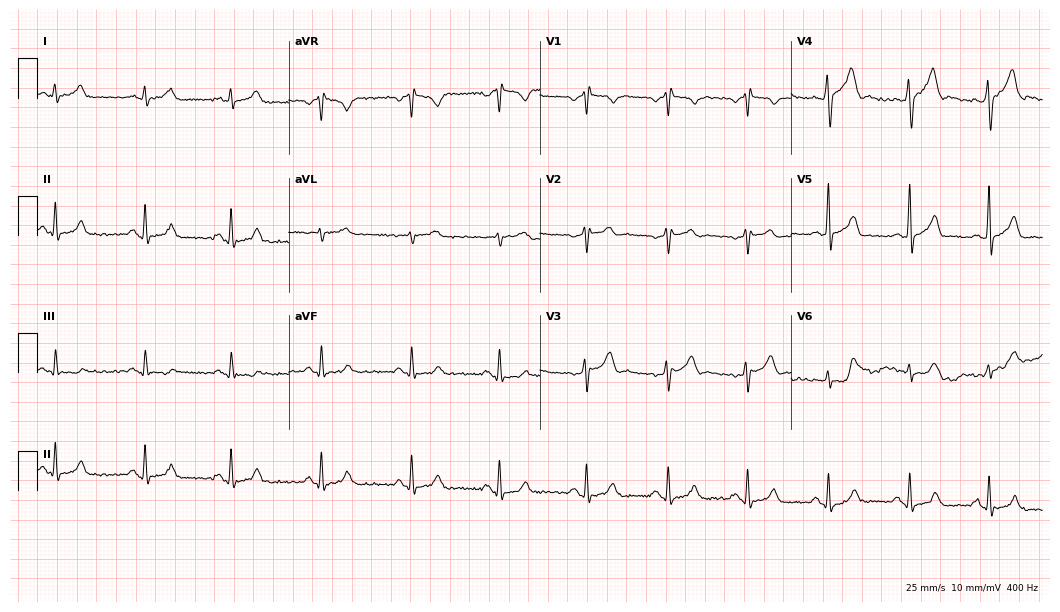
Resting 12-lead electrocardiogram (10.2-second recording at 400 Hz). Patient: a male, 23 years old. Read as a normal ECG.